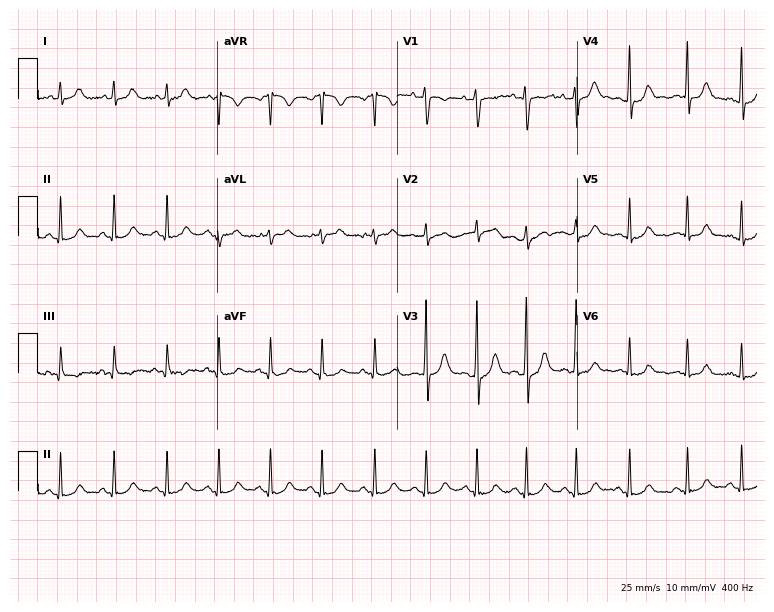
Standard 12-lead ECG recorded from a woman, 19 years old. The tracing shows sinus tachycardia (a sinus rate of 100 beats per minute or more).